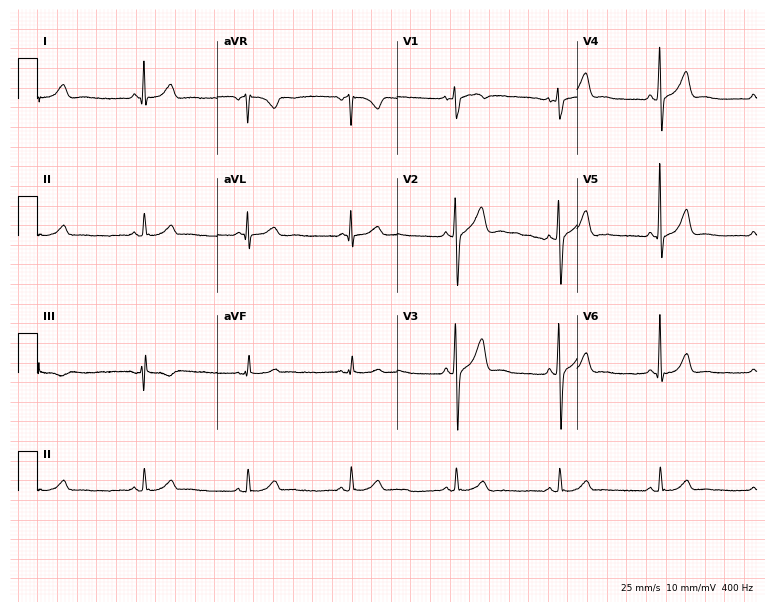
Electrocardiogram, a man, 56 years old. Of the six screened findings (first-degree AV block, right bundle branch block (RBBB), left bundle branch block (LBBB), sinus bradycardia, atrial fibrillation (AF), sinus tachycardia), none is recorded. Only these six findings were labelled.